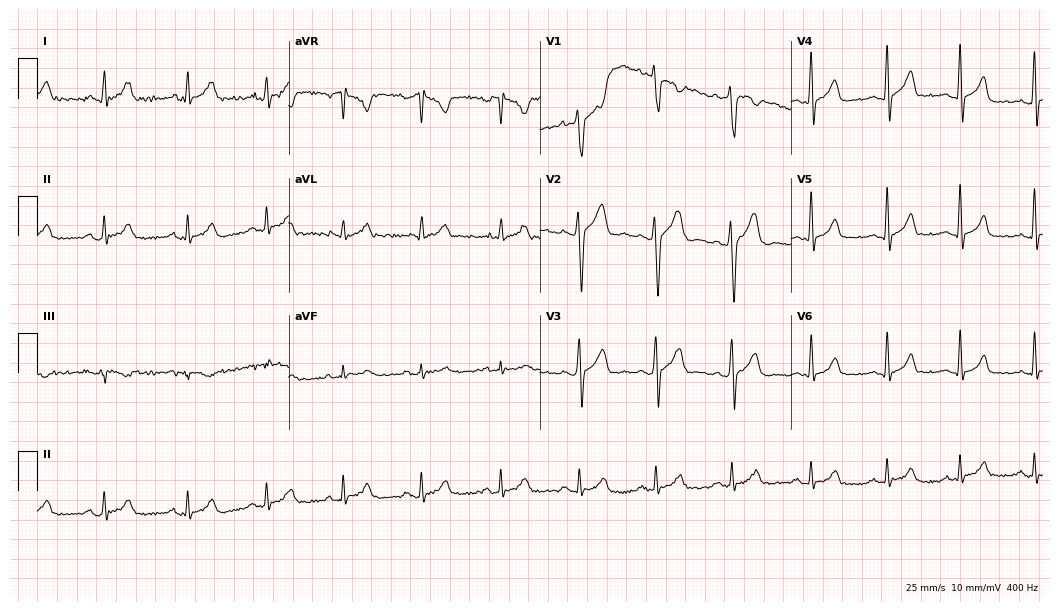
12-lead ECG from a 33-year-old male (10.2-second recording at 400 Hz). Recorded interpretation: within normal limits.